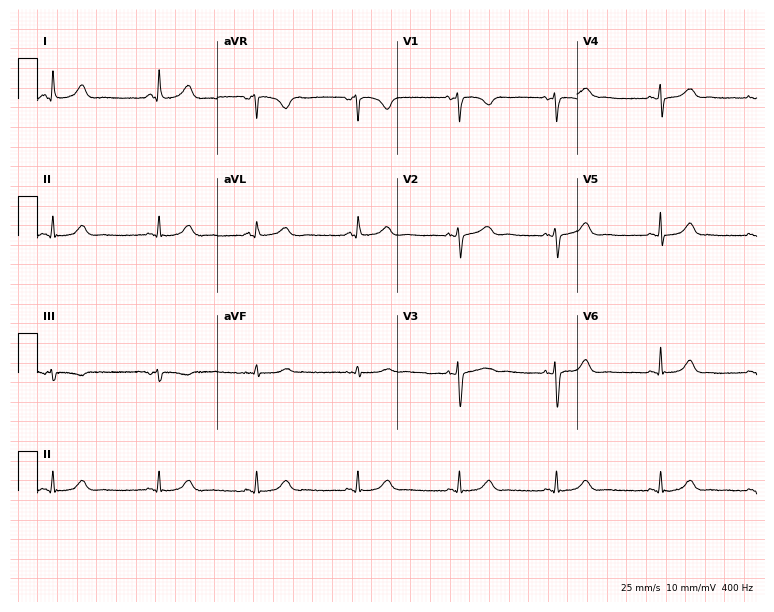
Electrocardiogram (7.3-second recording at 400 Hz), a female, 47 years old. Of the six screened findings (first-degree AV block, right bundle branch block, left bundle branch block, sinus bradycardia, atrial fibrillation, sinus tachycardia), none is recorded.